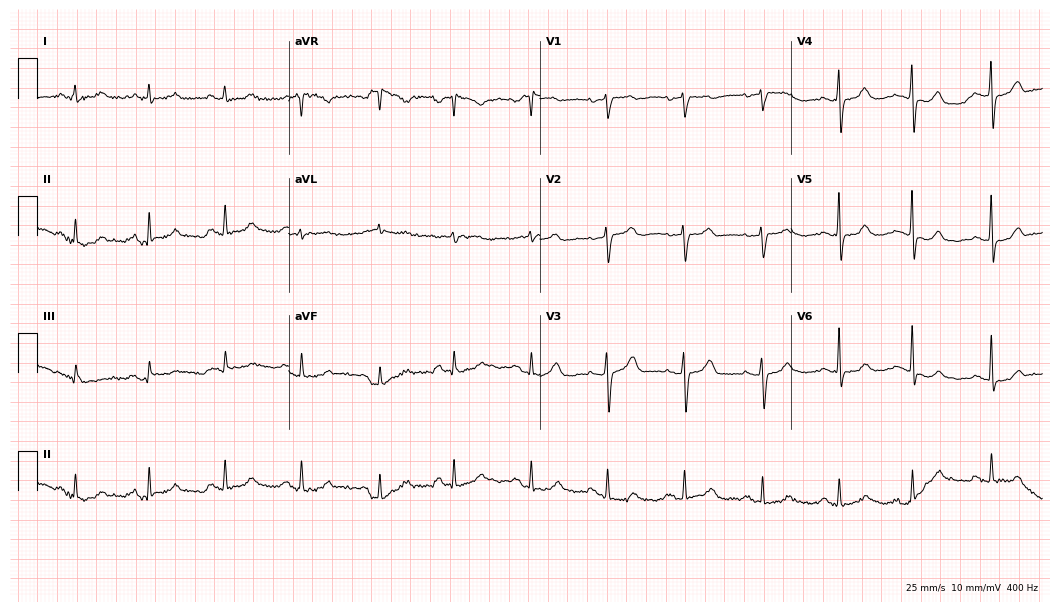
12-lead ECG (10.2-second recording at 400 Hz) from a female, 69 years old. Labelled as a normal ECG.